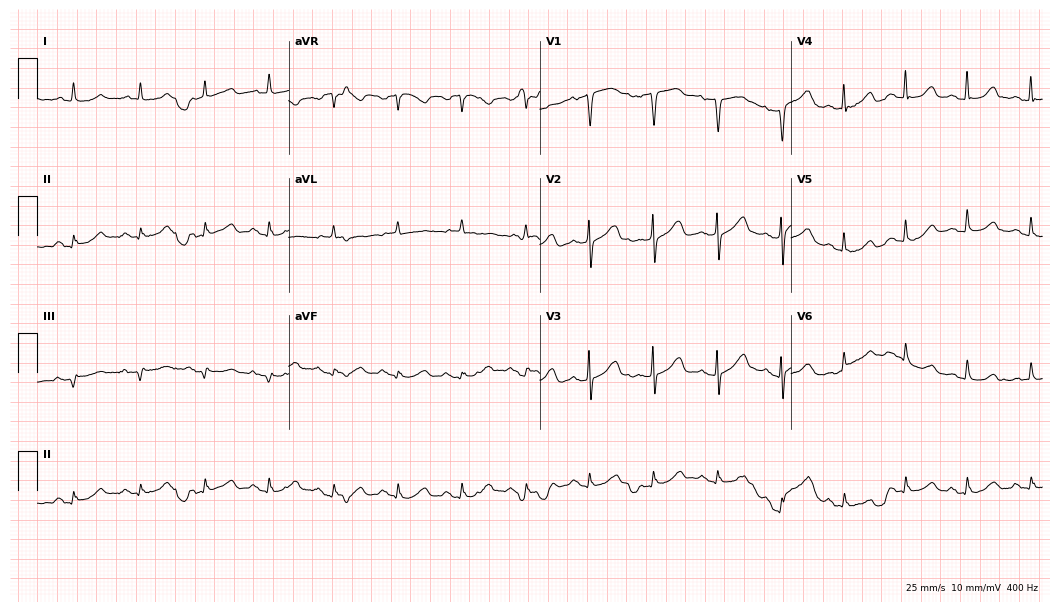
Standard 12-lead ECG recorded from a female patient, 77 years old (10.2-second recording at 400 Hz). None of these six findings is recorded: first-degree AV block, right bundle branch block, left bundle branch block, sinus bradycardia, atrial fibrillation, sinus tachycardia.